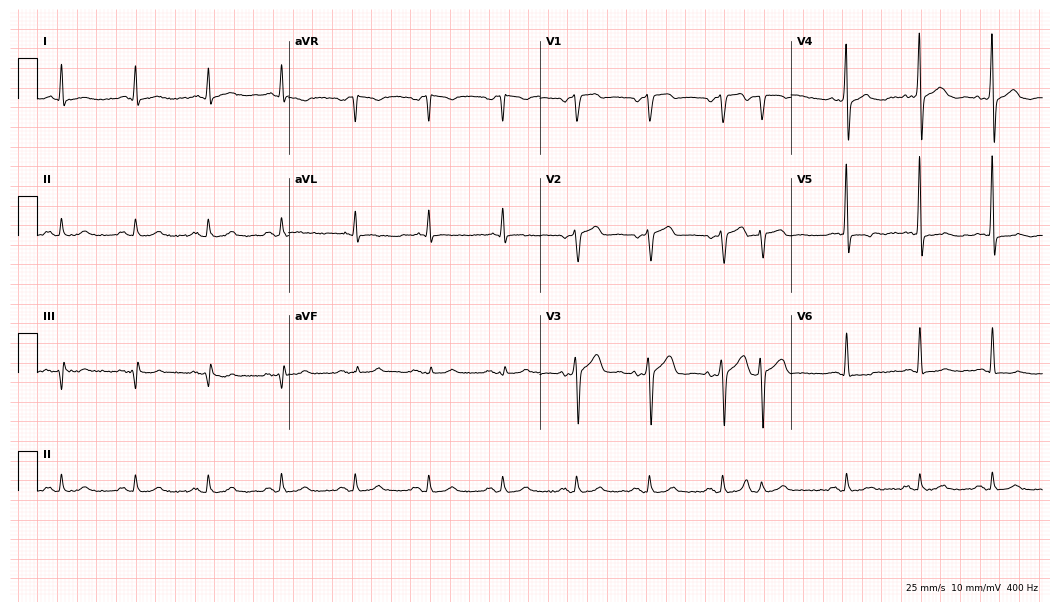
Electrocardiogram (10.2-second recording at 400 Hz), a female, 62 years old. Of the six screened findings (first-degree AV block, right bundle branch block (RBBB), left bundle branch block (LBBB), sinus bradycardia, atrial fibrillation (AF), sinus tachycardia), none is recorded. Findings outside these six are not listed.